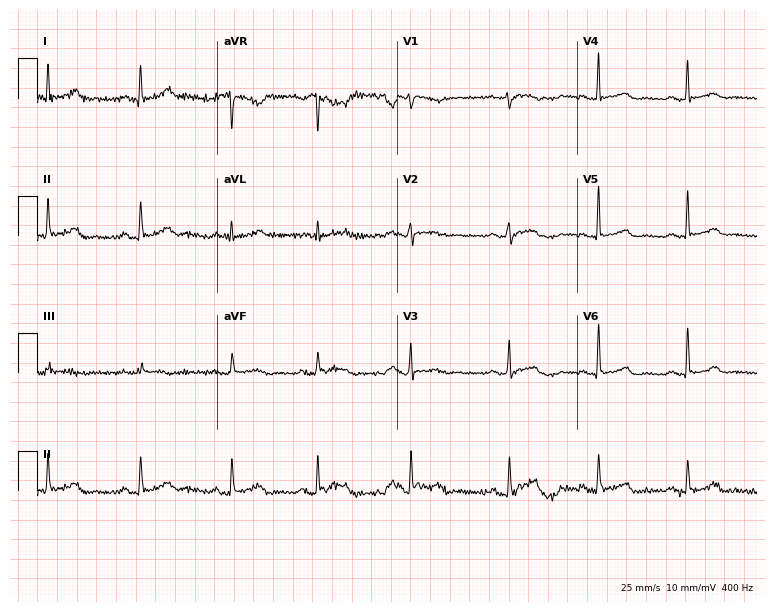
12-lead ECG from a female patient, 28 years old (7.3-second recording at 400 Hz). No first-degree AV block, right bundle branch block (RBBB), left bundle branch block (LBBB), sinus bradycardia, atrial fibrillation (AF) or sinus tachycardia recorded for this tracing.